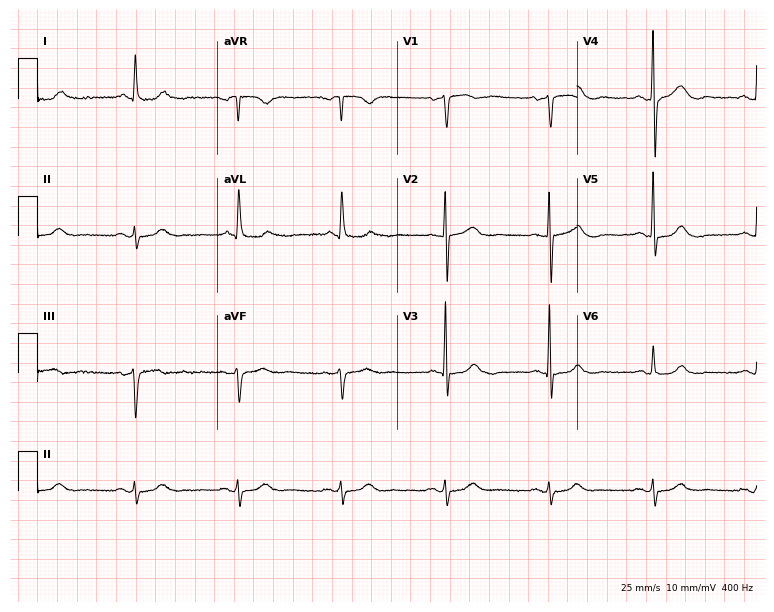
Standard 12-lead ECG recorded from a 79-year-old man. None of these six findings is recorded: first-degree AV block, right bundle branch block, left bundle branch block, sinus bradycardia, atrial fibrillation, sinus tachycardia. Only these six findings were labelled.